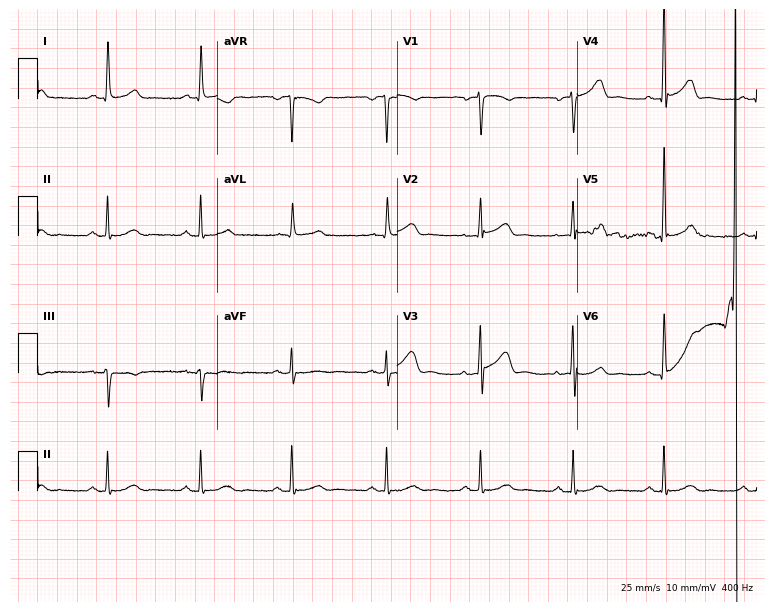
Resting 12-lead electrocardiogram. Patient: a female, 75 years old. Read as a normal ECG.